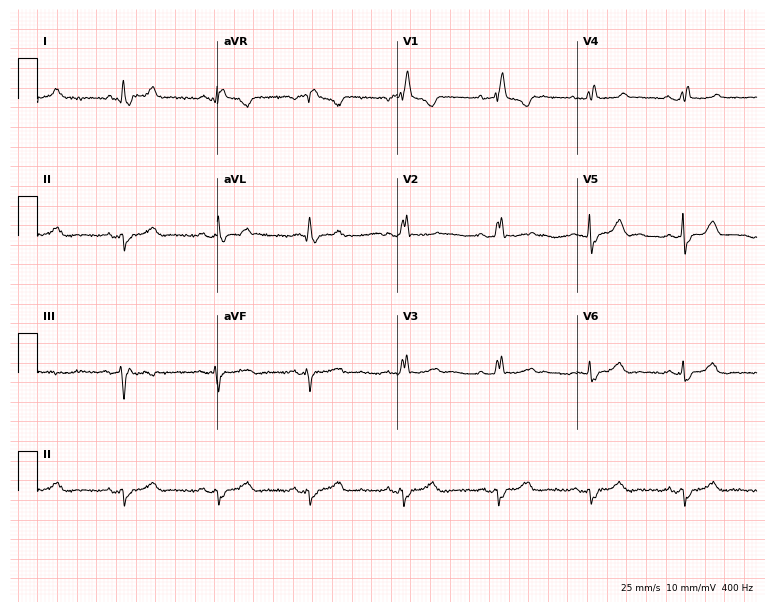
ECG — a female, 55 years old. Findings include right bundle branch block.